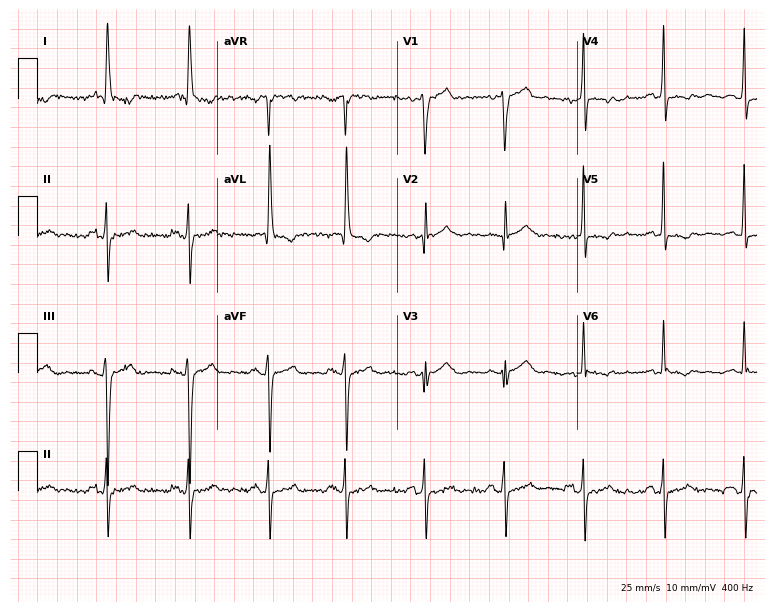
Standard 12-lead ECG recorded from a woman, 69 years old. None of these six findings is recorded: first-degree AV block, right bundle branch block, left bundle branch block, sinus bradycardia, atrial fibrillation, sinus tachycardia. Only these six findings were labelled.